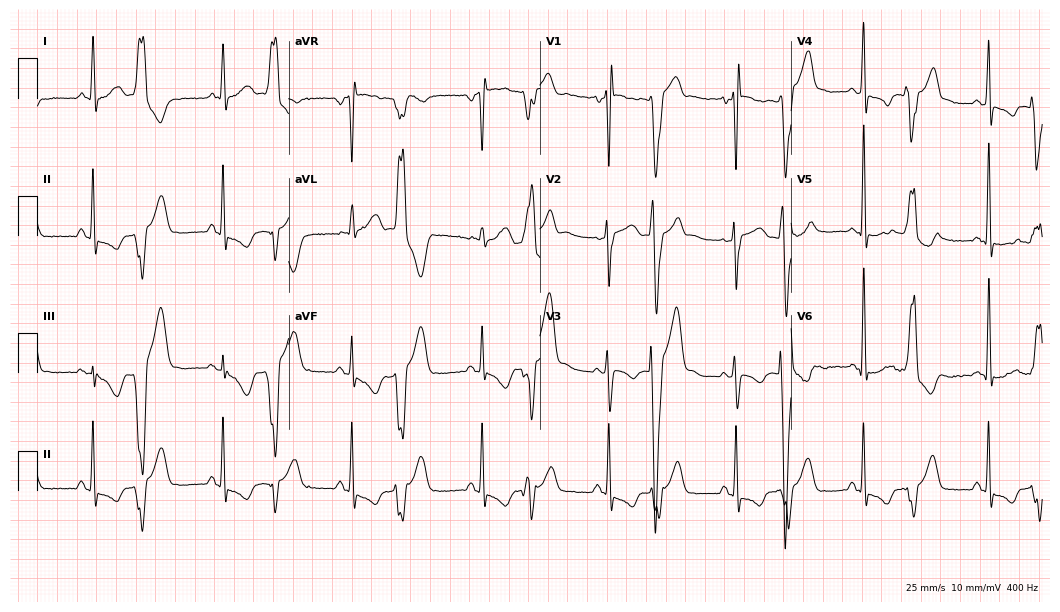
ECG — a 22-year-old female patient. Screened for six findings — first-degree AV block, right bundle branch block, left bundle branch block, sinus bradycardia, atrial fibrillation, sinus tachycardia — none is recorded.